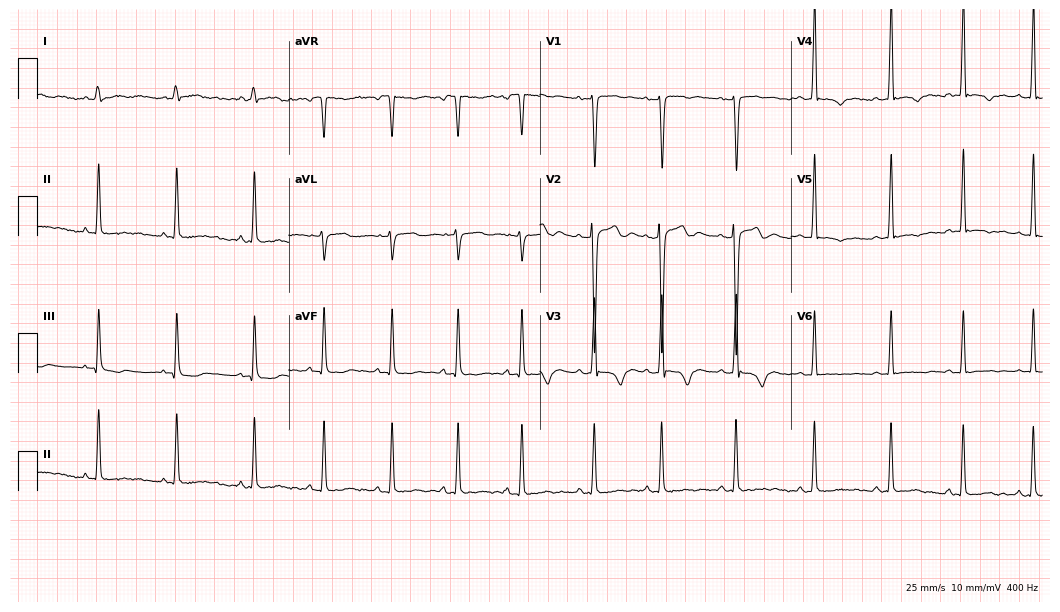
Resting 12-lead electrocardiogram (10.2-second recording at 400 Hz). Patient: a 17-year-old man. None of these six findings is recorded: first-degree AV block, right bundle branch block, left bundle branch block, sinus bradycardia, atrial fibrillation, sinus tachycardia. Findings outside these six are not listed.